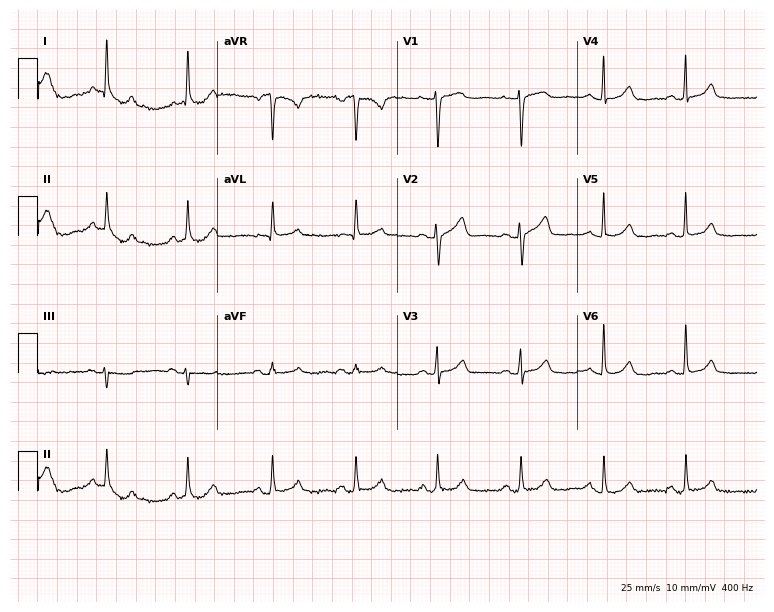
ECG — a female patient, 70 years old. Labelled as a normal ECG.